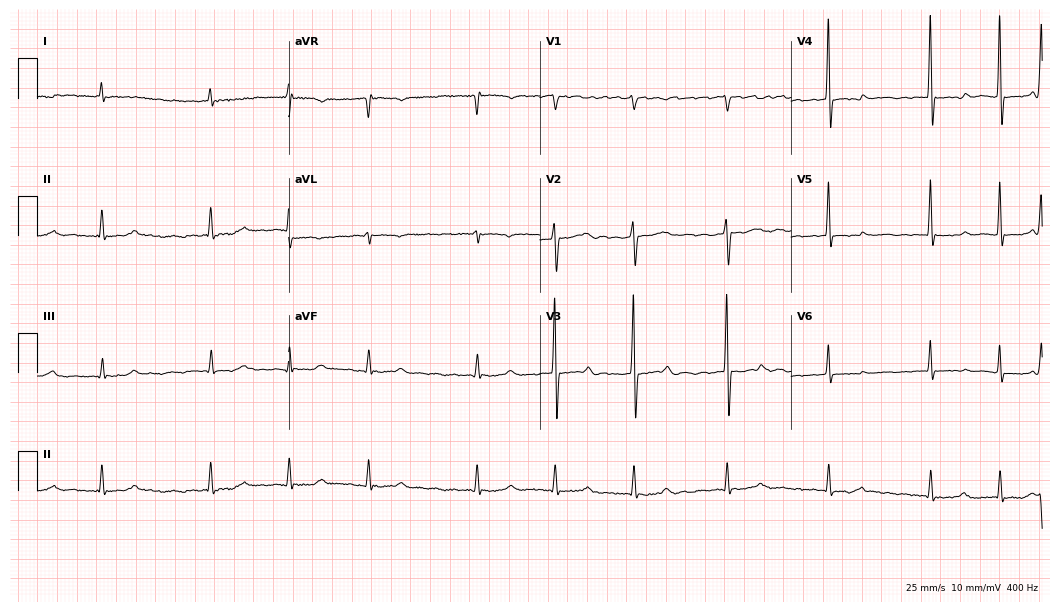
Standard 12-lead ECG recorded from a 77-year-old woman. None of these six findings is recorded: first-degree AV block, right bundle branch block (RBBB), left bundle branch block (LBBB), sinus bradycardia, atrial fibrillation (AF), sinus tachycardia. Findings outside these six are not listed.